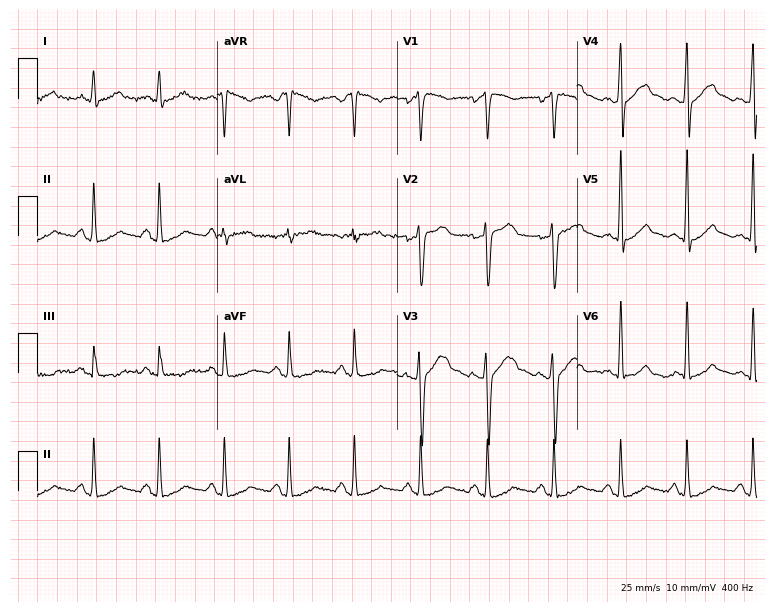
Resting 12-lead electrocardiogram. Patient: a male, 33 years old. Read as a normal ECG.